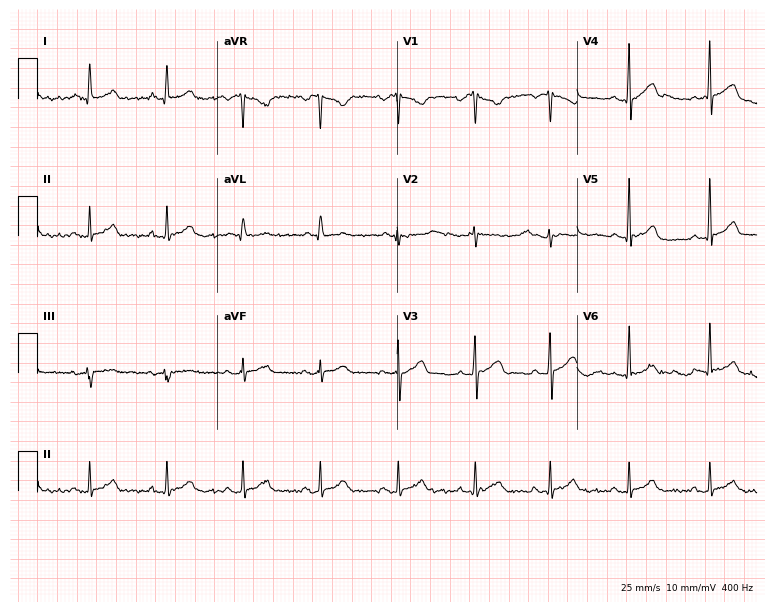
Standard 12-lead ECG recorded from a 45-year-old male. Read as a normal ECG.